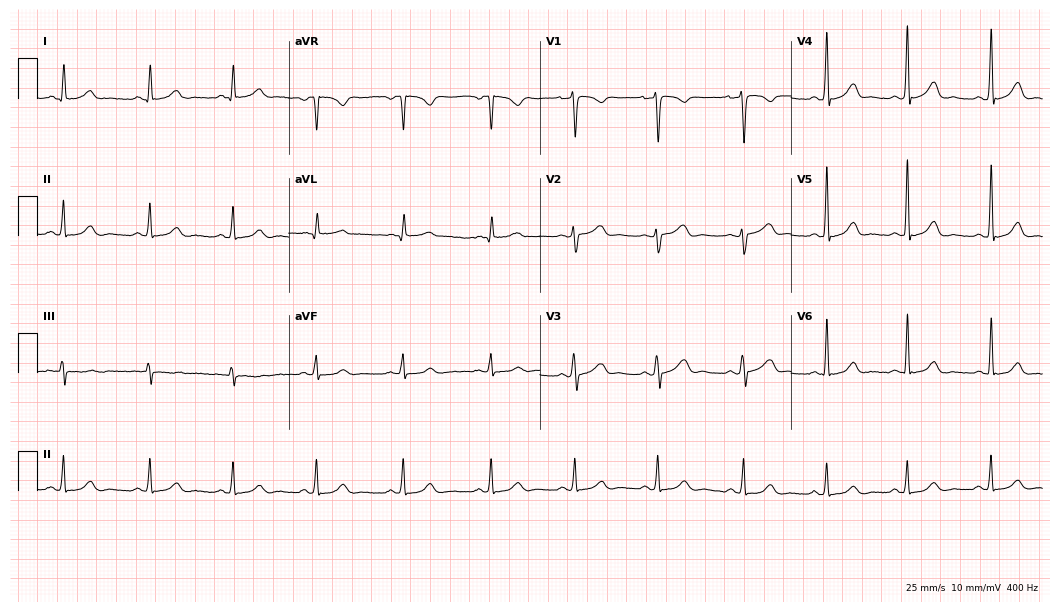
12-lead ECG from a female, 35 years old. Screened for six findings — first-degree AV block, right bundle branch block, left bundle branch block, sinus bradycardia, atrial fibrillation, sinus tachycardia — none is recorded. Other findings, if any, are not listed.